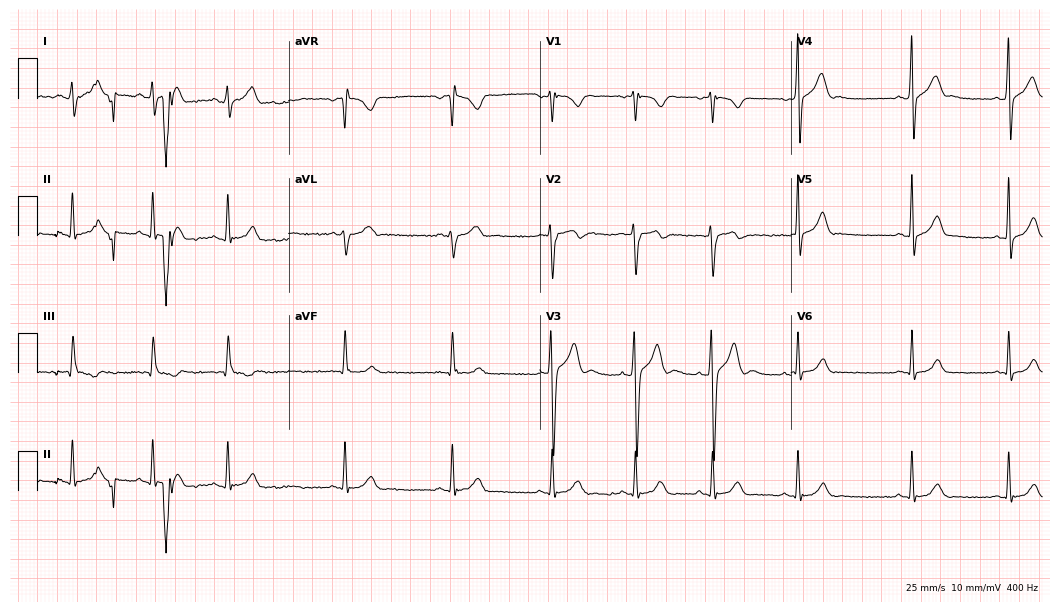
ECG (10.2-second recording at 400 Hz) — a man, 17 years old. Labelled as a normal ECG.